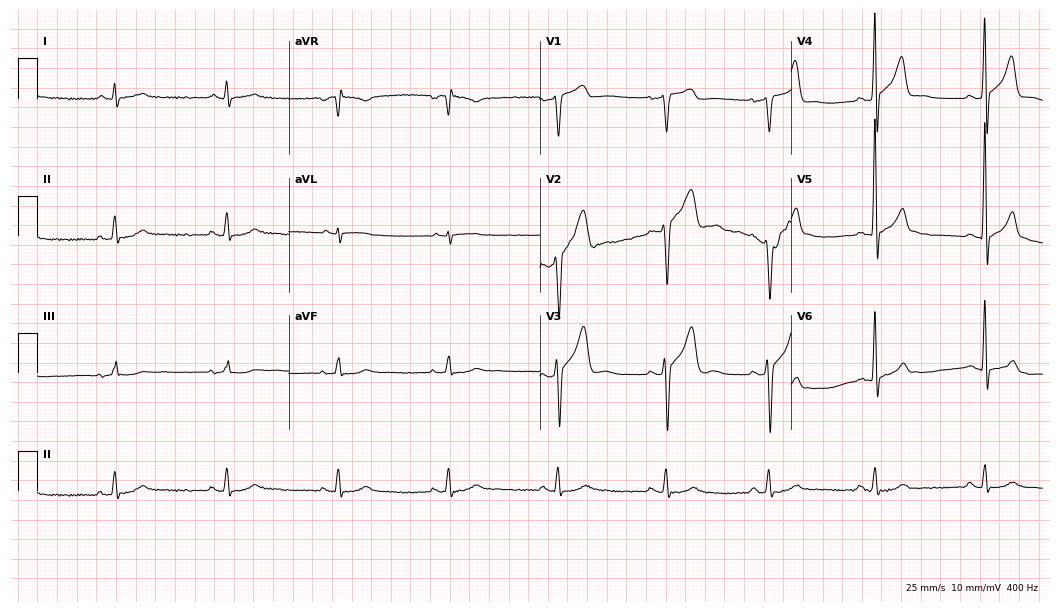
Standard 12-lead ECG recorded from a 40-year-old male. Read as a normal ECG.